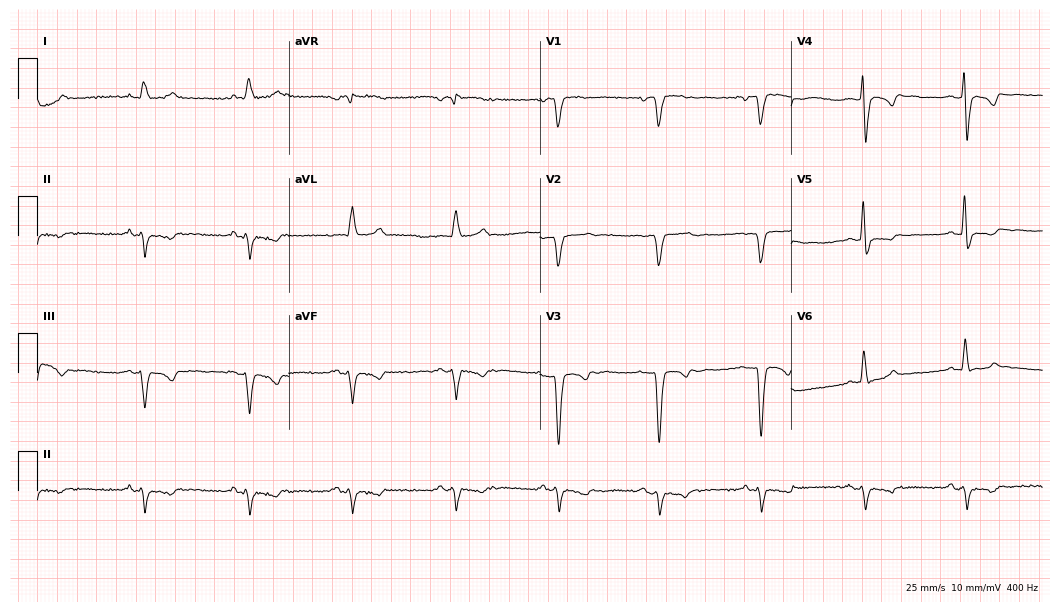
ECG (10.2-second recording at 400 Hz) — a male, 65 years old. Screened for six findings — first-degree AV block, right bundle branch block, left bundle branch block, sinus bradycardia, atrial fibrillation, sinus tachycardia — none is recorded. Other findings, if any, are not listed.